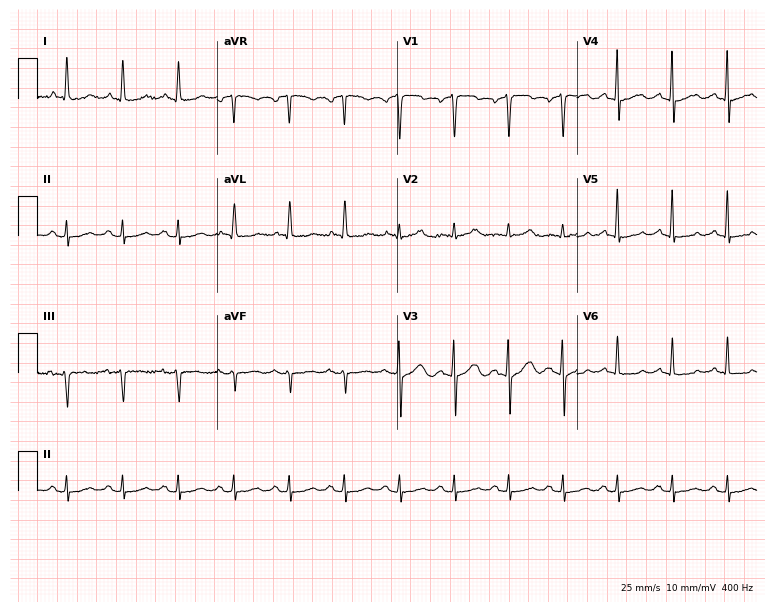
Standard 12-lead ECG recorded from a 66-year-old man (7.3-second recording at 400 Hz). None of these six findings is recorded: first-degree AV block, right bundle branch block (RBBB), left bundle branch block (LBBB), sinus bradycardia, atrial fibrillation (AF), sinus tachycardia. Only these six findings were labelled.